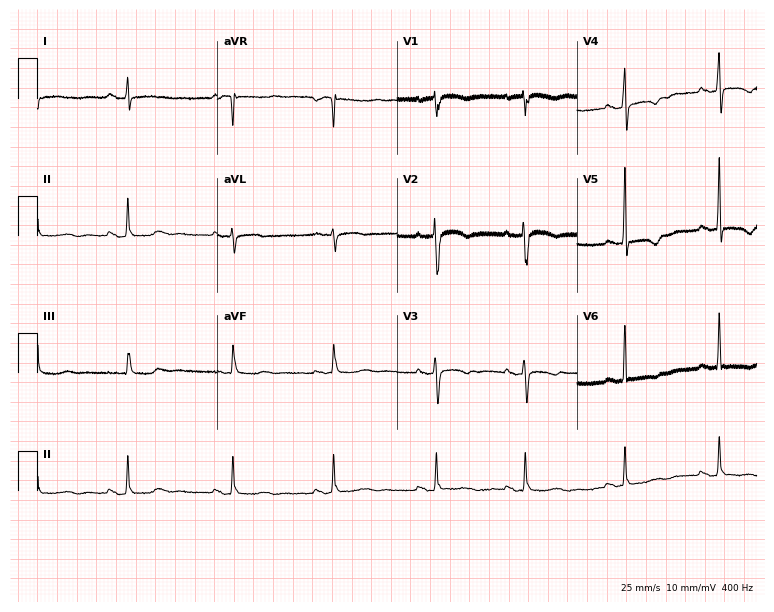
Resting 12-lead electrocardiogram. Patient: a female, 69 years old. None of these six findings is recorded: first-degree AV block, right bundle branch block, left bundle branch block, sinus bradycardia, atrial fibrillation, sinus tachycardia. Findings outside these six are not listed.